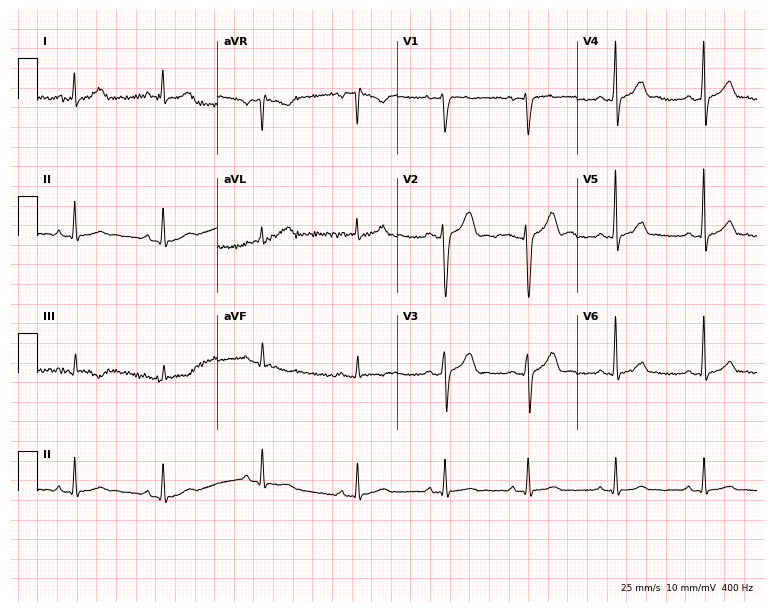
Resting 12-lead electrocardiogram. Patient: a male, 34 years old. Read as a normal ECG.